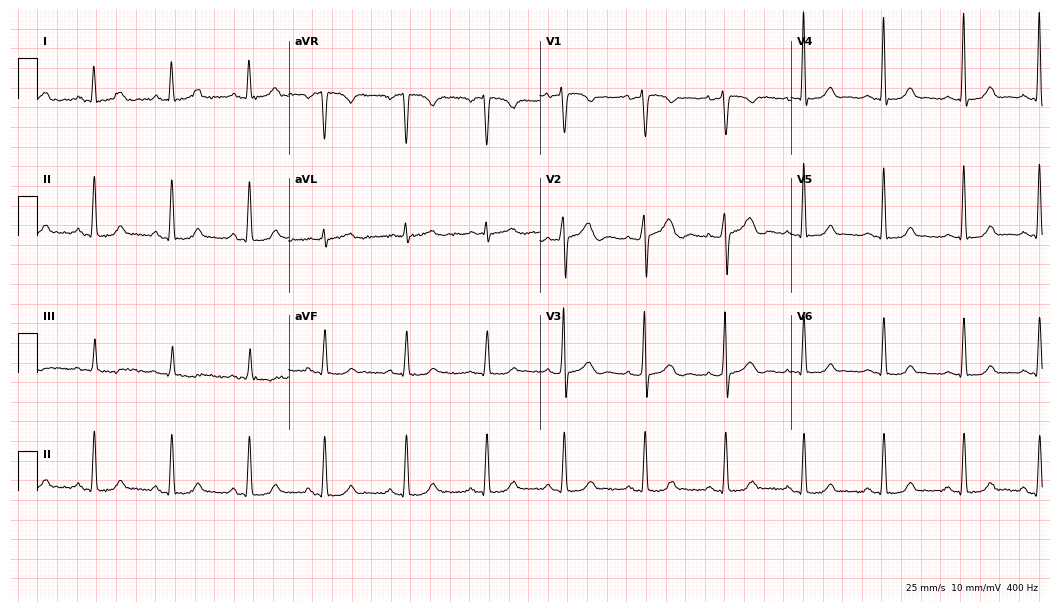
ECG (10.2-second recording at 400 Hz) — a female patient, 35 years old. Labelled as a normal ECG.